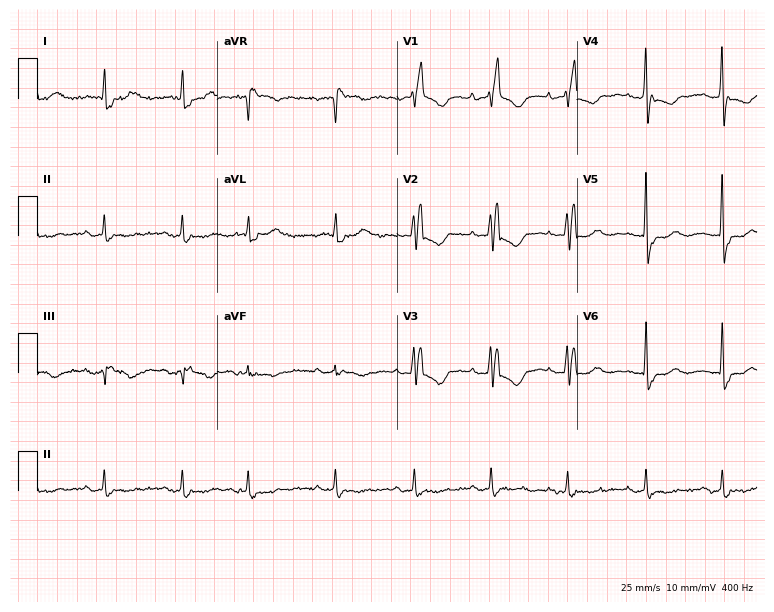
Electrocardiogram (7.3-second recording at 400 Hz), a female, 83 years old. Interpretation includes right bundle branch block (RBBB).